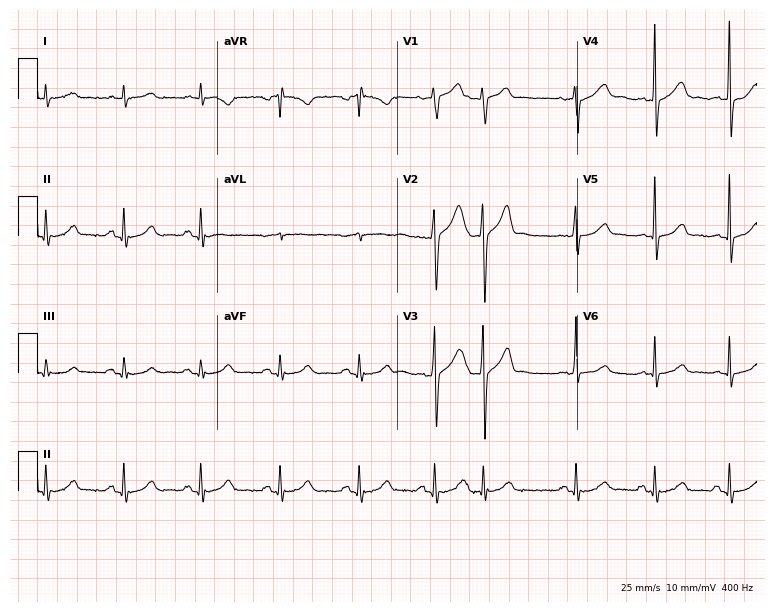
Electrocardiogram, a male, 59 years old. Overall reading on record: normal ECG.